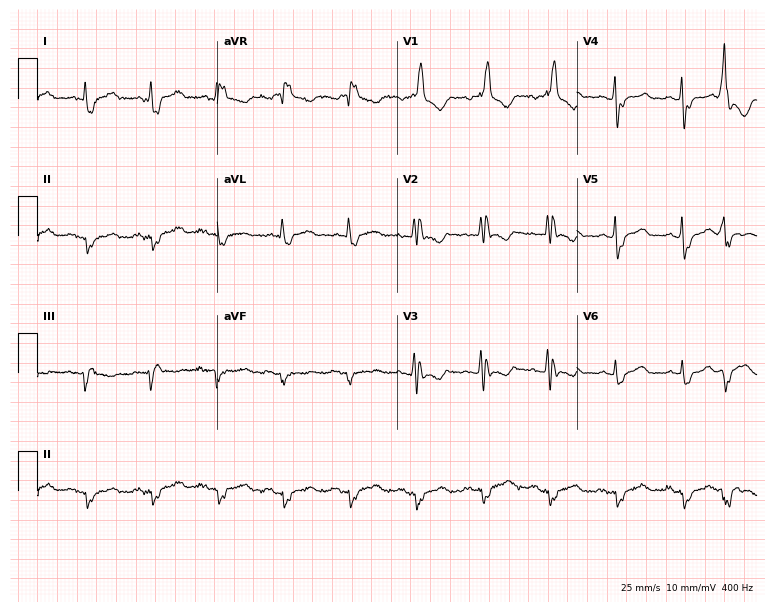
Resting 12-lead electrocardiogram (7.3-second recording at 400 Hz). Patient: a female, 72 years old. The tracing shows right bundle branch block.